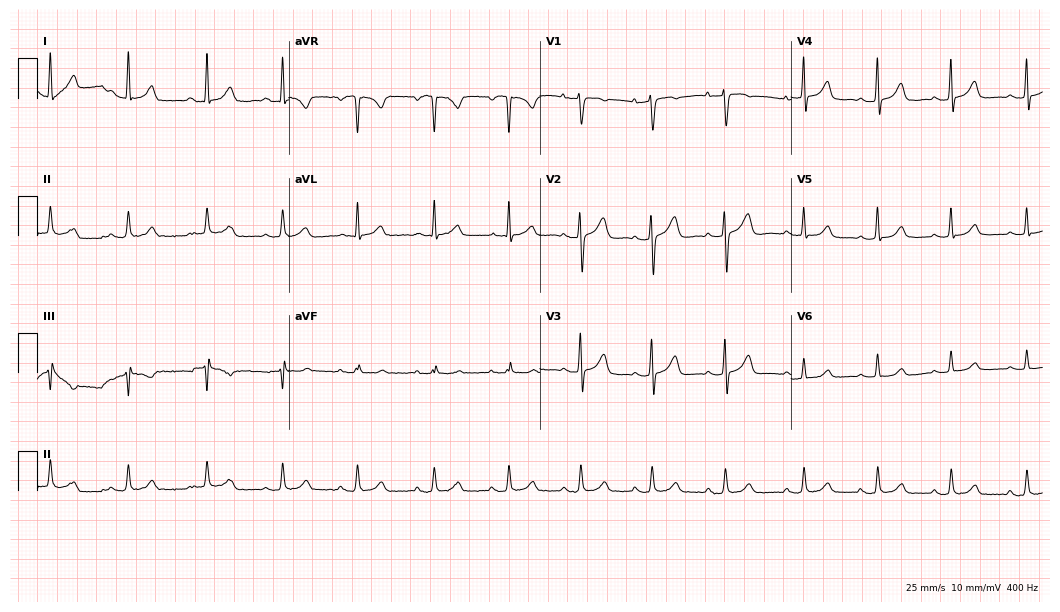
Standard 12-lead ECG recorded from a female patient, 49 years old (10.2-second recording at 400 Hz). None of these six findings is recorded: first-degree AV block, right bundle branch block (RBBB), left bundle branch block (LBBB), sinus bradycardia, atrial fibrillation (AF), sinus tachycardia. Findings outside these six are not listed.